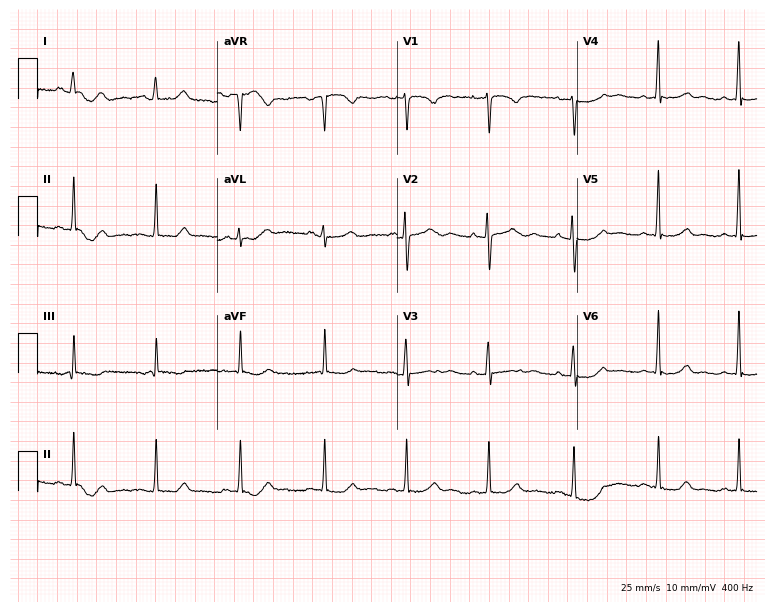
Resting 12-lead electrocardiogram. Patient: a female, 41 years old. None of these six findings is recorded: first-degree AV block, right bundle branch block, left bundle branch block, sinus bradycardia, atrial fibrillation, sinus tachycardia. Findings outside these six are not listed.